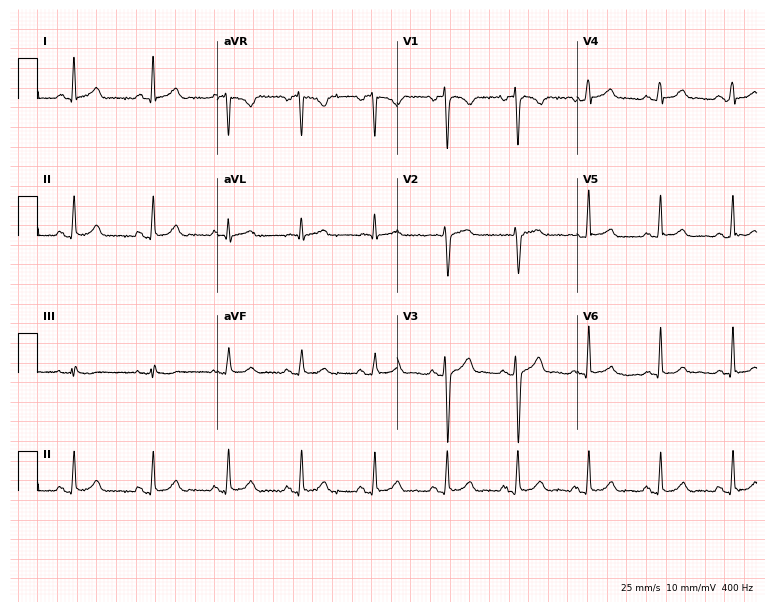
12-lead ECG from a 34-year-old man. Recorded interpretation: within normal limits.